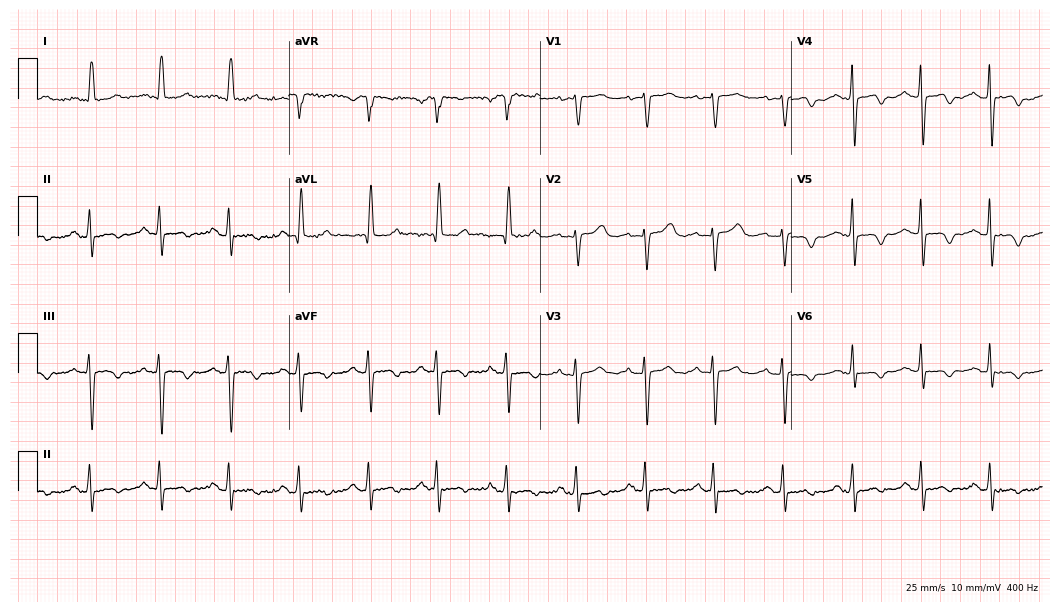
Resting 12-lead electrocardiogram. Patient: a 77-year-old woman. None of these six findings is recorded: first-degree AV block, right bundle branch block (RBBB), left bundle branch block (LBBB), sinus bradycardia, atrial fibrillation (AF), sinus tachycardia. Only these six findings were labelled.